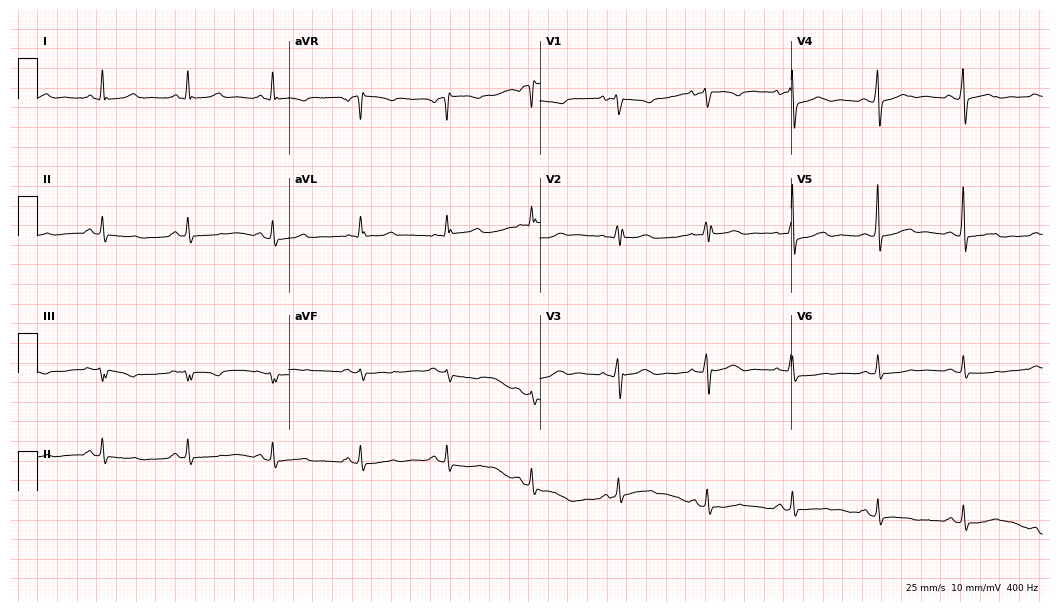
Resting 12-lead electrocardiogram (10.2-second recording at 400 Hz). Patient: a female, 44 years old. Read as a normal ECG.